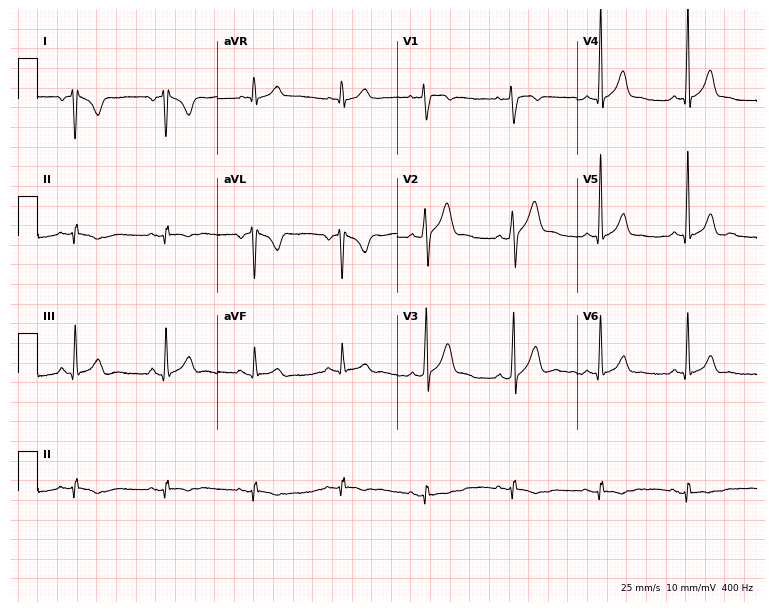
12-lead ECG from a male, 26 years old. No first-degree AV block, right bundle branch block, left bundle branch block, sinus bradycardia, atrial fibrillation or sinus tachycardia recorded for this tracing.